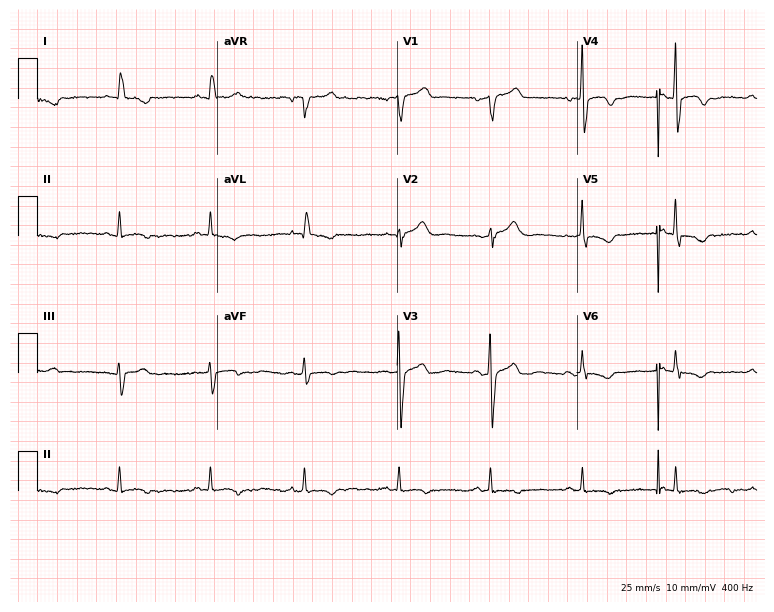
ECG (7.3-second recording at 400 Hz) — a female patient, 79 years old. Screened for six findings — first-degree AV block, right bundle branch block, left bundle branch block, sinus bradycardia, atrial fibrillation, sinus tachycardia — none is recorded.